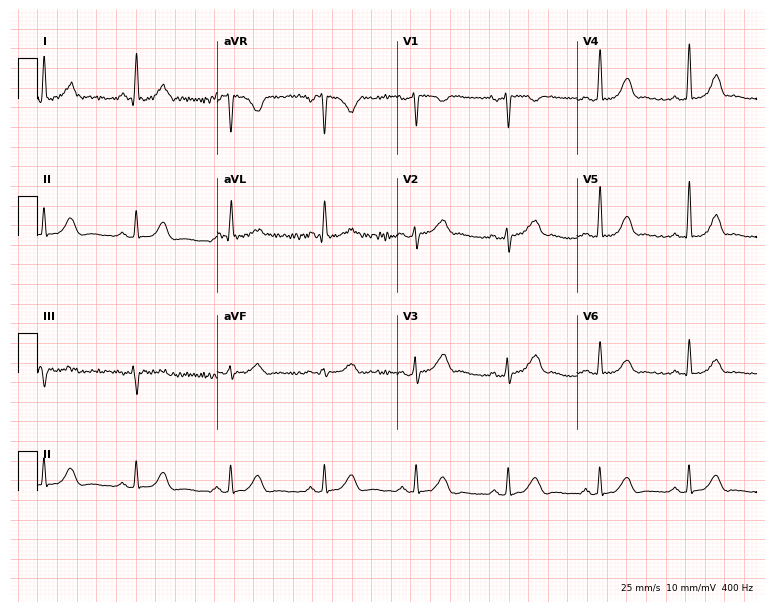
Resting 12-lead electrocardiogram. Patient: a female, 44 years old. None of these six findings is recorded: first-degree AV block, right bundle branch block, left bundle branch block, sinus bradycardia, atrial fibrillation, sinus tachycardia.